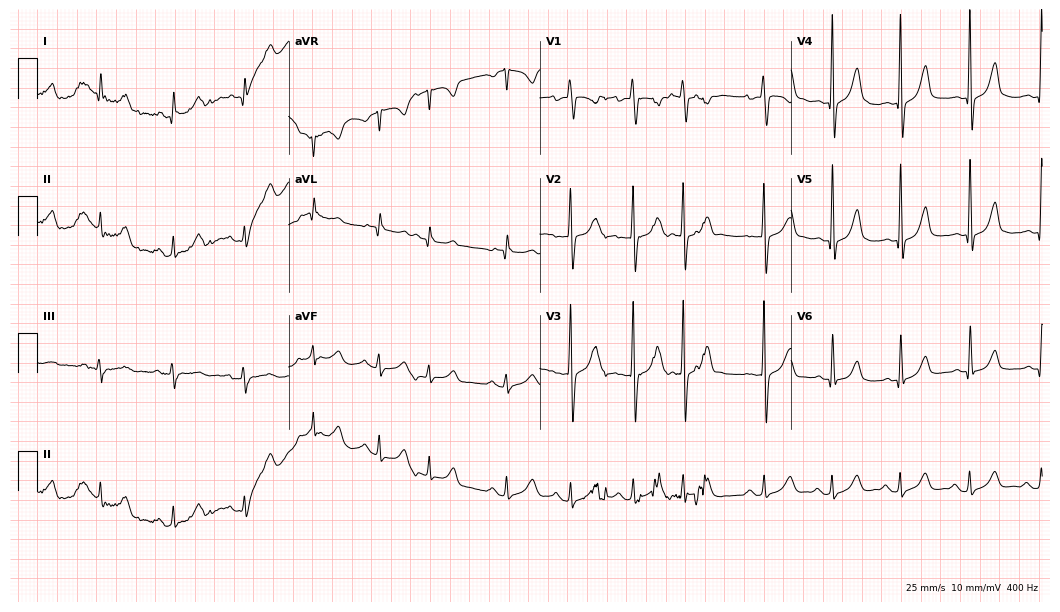
12-lead ECG from a 23-year-old man. No first-degree AV block, right bundle branch block, left bundle branch block, sinus bradycardia, atrial fibrillation or sinus tachycardia recorded for this tracing. Only these six findings were labelled.